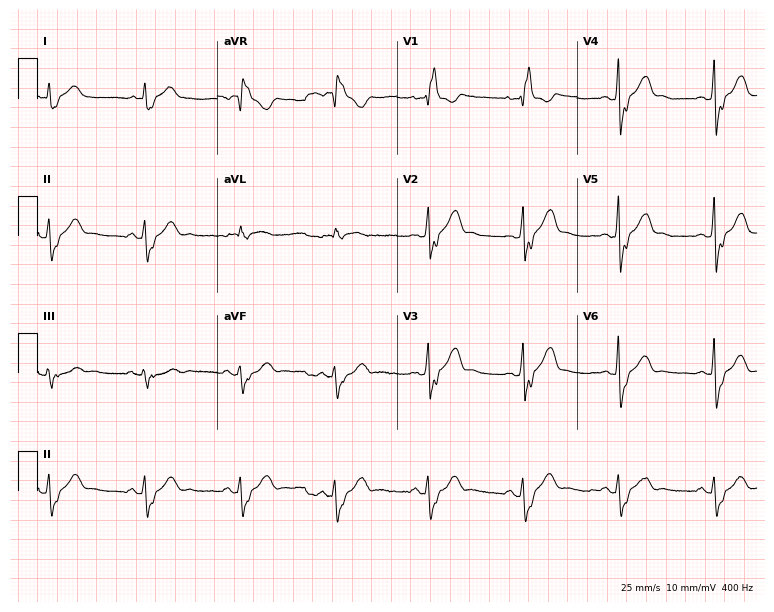
12-lead ECG from a male, 69 years old. No first-degree AV block, right bundle branch block, left bundle branch block, sinus bradycardia, atrial fibrillation or sinus tachycardia recorded for this tracing.